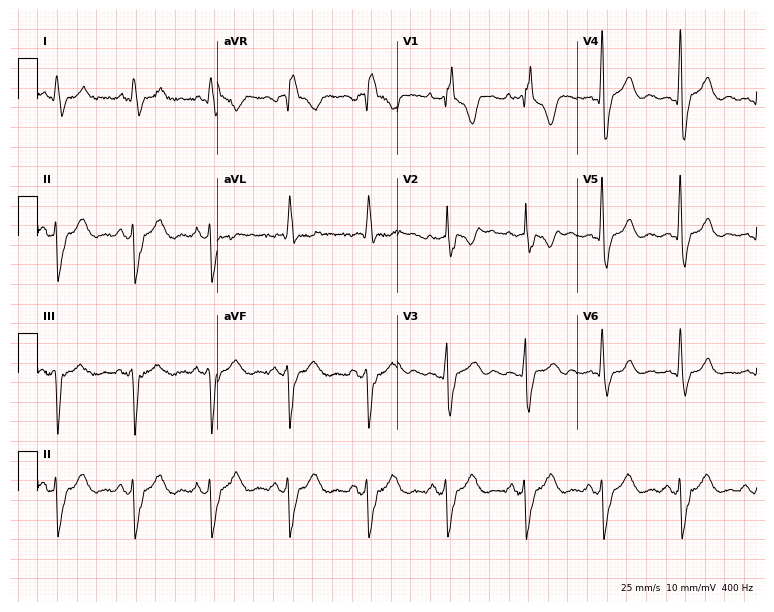
12-lead ECG (7.3-second recording at 400 Hz) from a 46-year-old female. Findings include right bundle branch block.